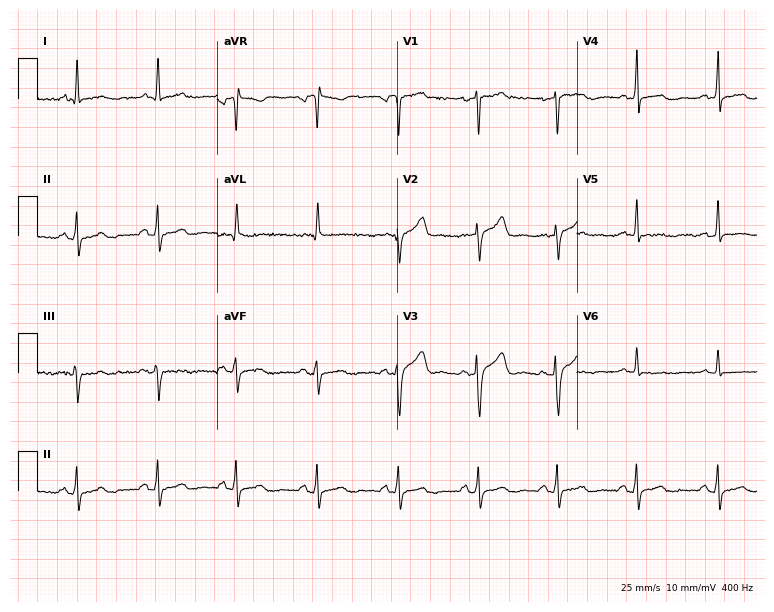
Standard 12-lead ECG recorded from a 59-year-old male patient (7.3-second recording at 400 Hz). None of these six findings is recorded: first-degree AV block, right bundle branch block (RBBB), left bundle branch block (LBBB), sinus bradycardia, atrial fibrillation (AF), sinus tachycardia.